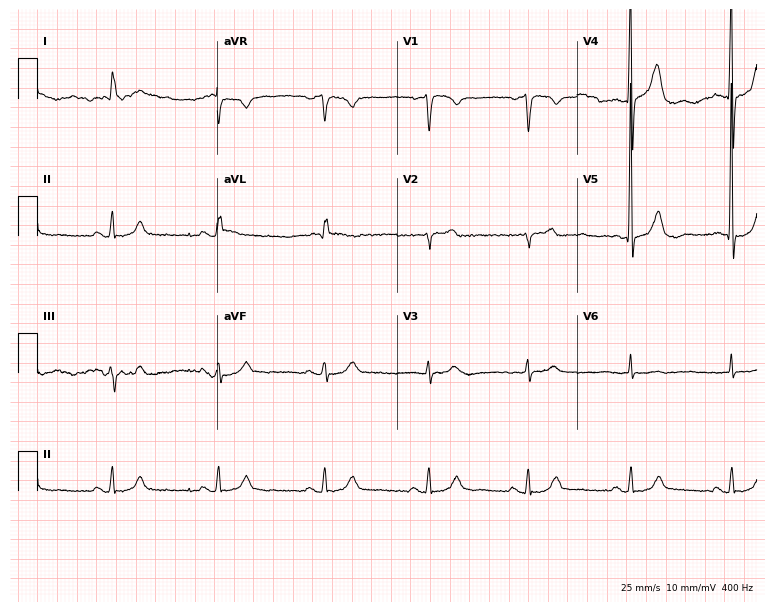
12-lead ECG from a man, 82 years old. Labelled as a normal ECG.